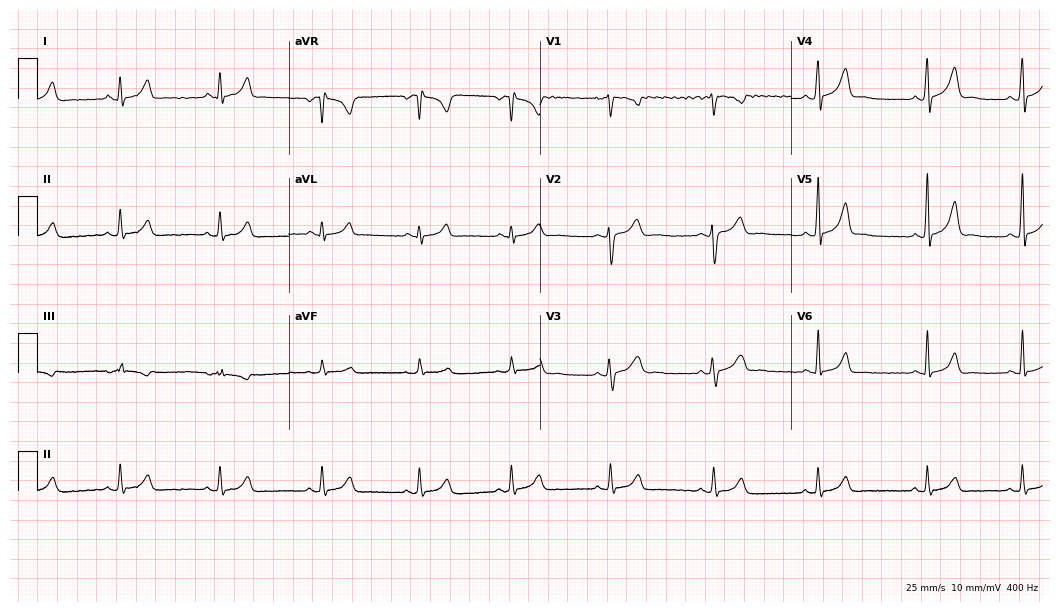
12-lead ECG (10.2-second recording at 400 Hz) from a 28-year-old woman. Screened for six findings — first-degree AV block, right bundle branch block, left bundle branch block, sinus bradycardia, atrial fibrillation, sinus tachycardia — none is recorded. Other findings, if any, are not listed.